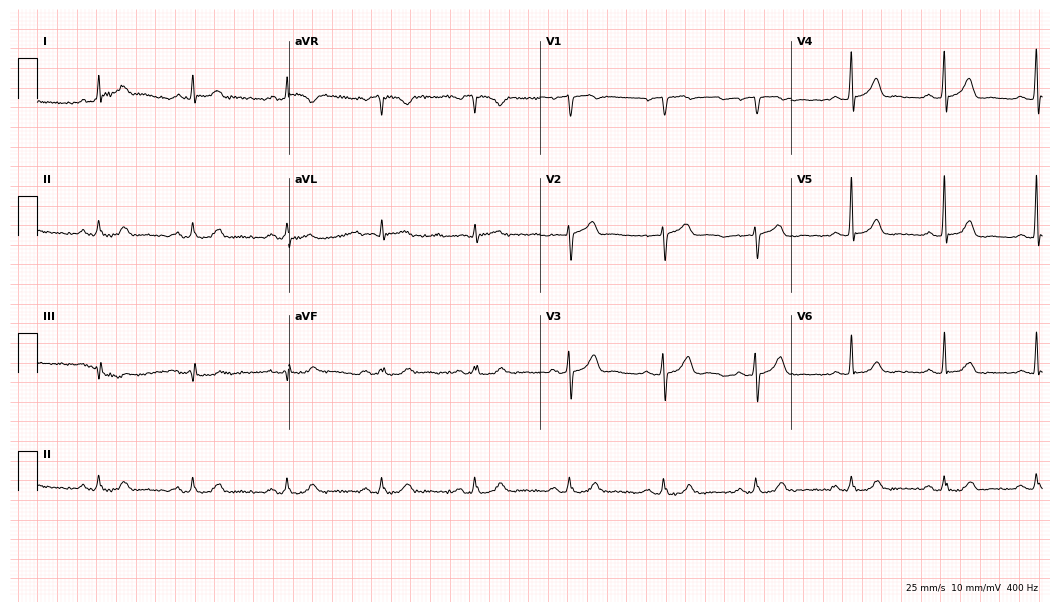
Electrocardiogram (10.2-second recording at 400 Hz), a 59-year-old man. Of the six screened findings (first-degree AV block, right bundle branch block (RBBB), left bundle branch block (LBBB), sinus bradycardia, atrial fibrillation (AF), sinus tachycardia), none is recorded.